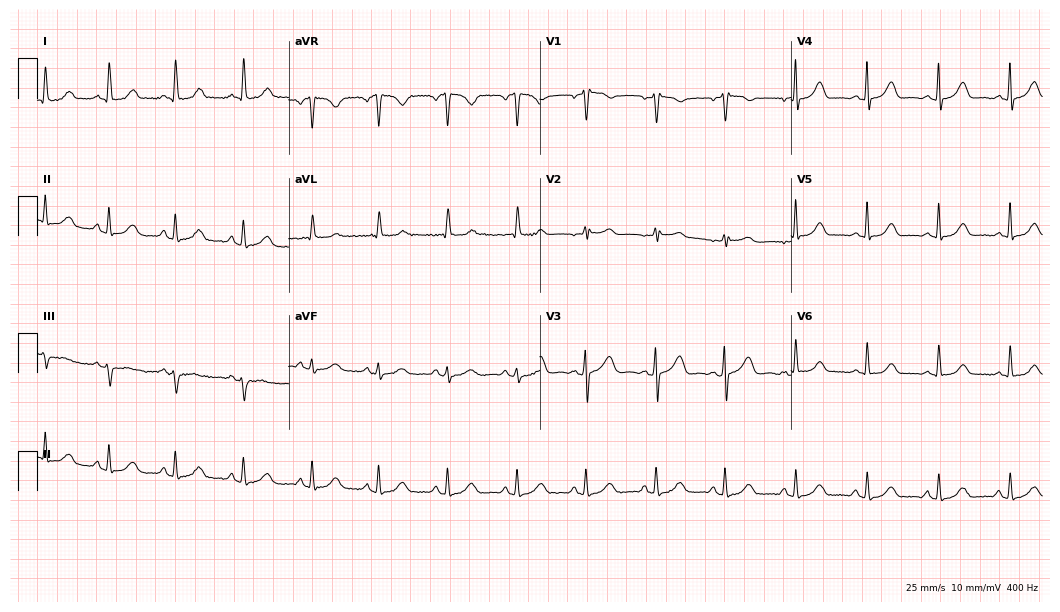
12-lead ECG from a female patient, 55 years old. Labelled as a normal ECG.